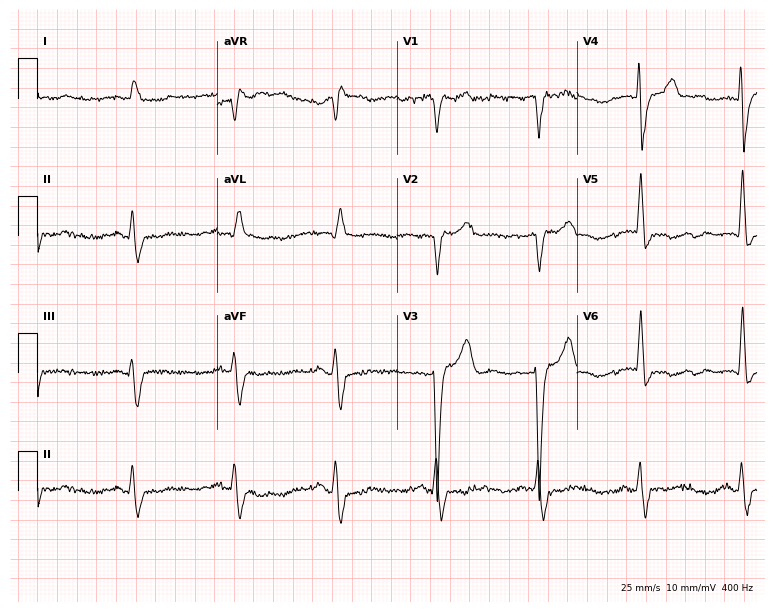
12-lead ECG from a male, 77 years old. Screened for six findings — first-degree AV block, right bundle branch block, left bundle branch block, sinus bradycardia, atrial fibrillation, sinus tachycardia — none is recorded. Only these six findings were labelled.